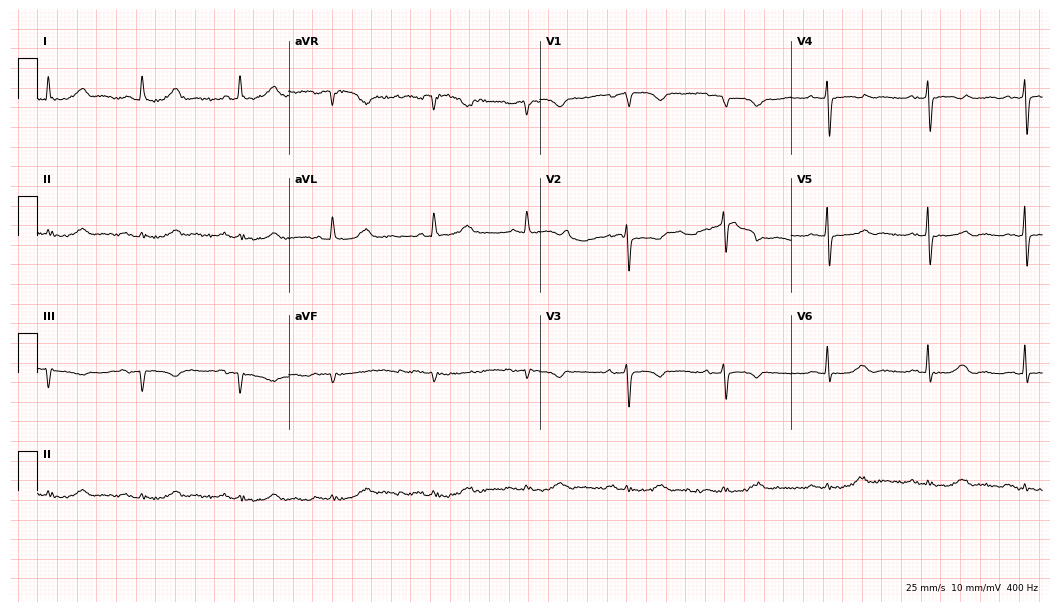
12-lead ECG (10.2-second recording at 400 Hz) from a female patient, 81 years old. Screened for six findings — first-degree AV block, right bundle branch block (RBBB), left bundle branch block (LBBB), sinus bradycardia, atrial fibrillation (AF), sinus tachycardia — none is recorded. Findings outside these six are not listed.